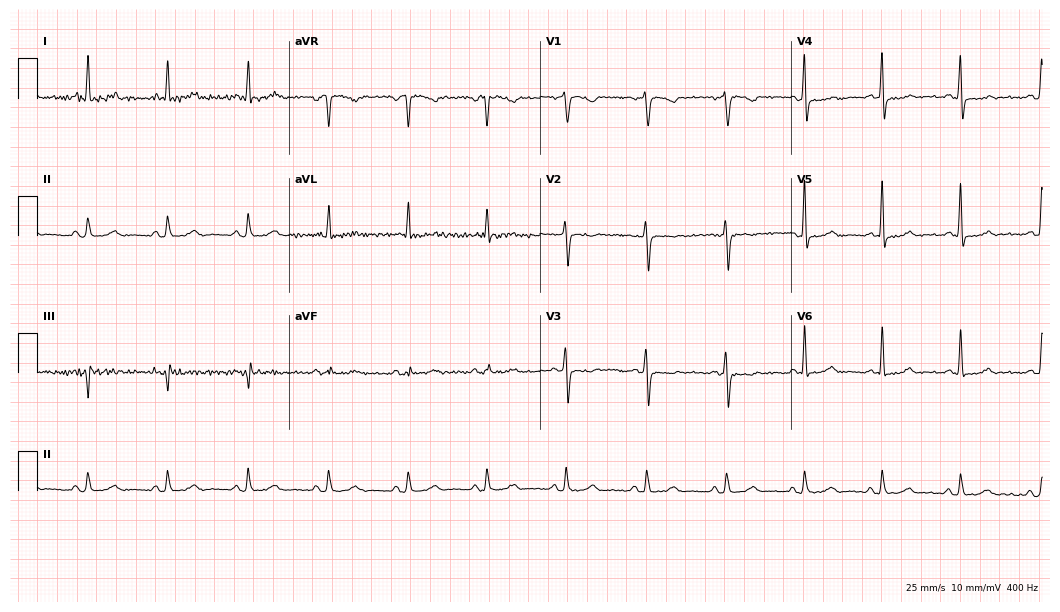
Electrocardiogram, a 66-year-old female patient. Overall reading on record: normal ECG.